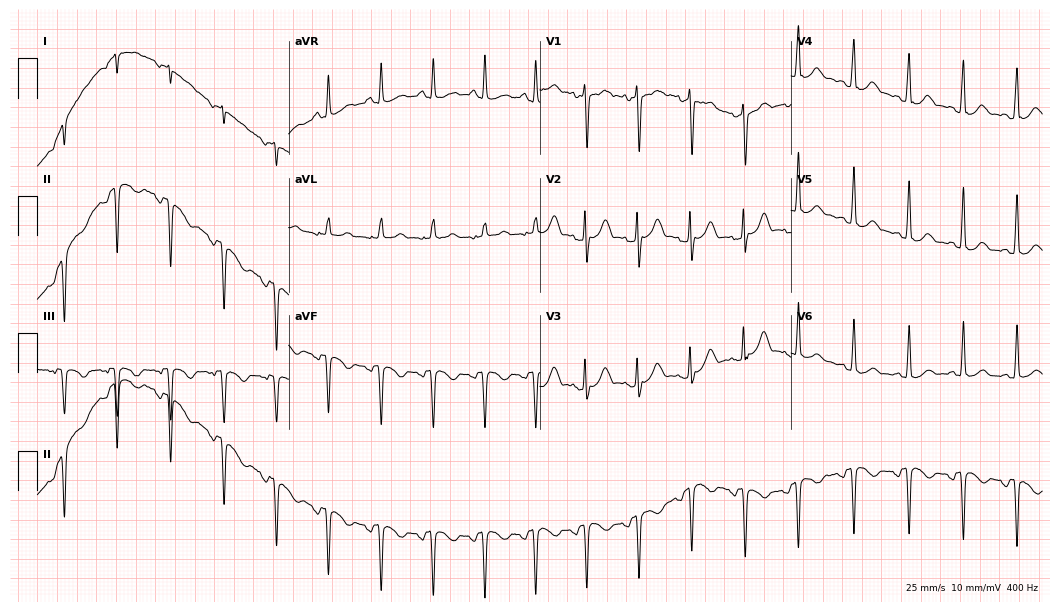
12-lead ECG (10.2-second recording at 400 Hz) from a female, 24 years old. Screened for six findings — first-degree AV block, right bundle branch block, left bundle branch block, sinus bradycardia, atrial fibrillation, sinus tachycardia — none is recorded.